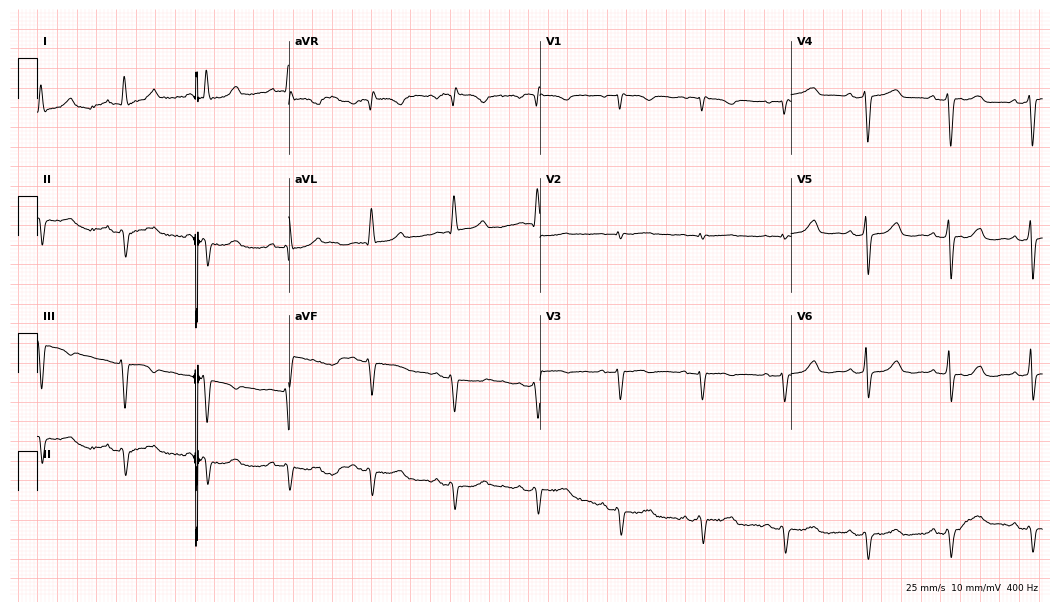
Resting 12-lead electrocardiogram. Patient: a 69-year-old female. None of these six findings is recorded: first-degree AV block, right bundle branch block, left bundle branch block, sinus bradycardia, atrial fibrillation, sinus tachycardia. Findings outside these six are not listed.